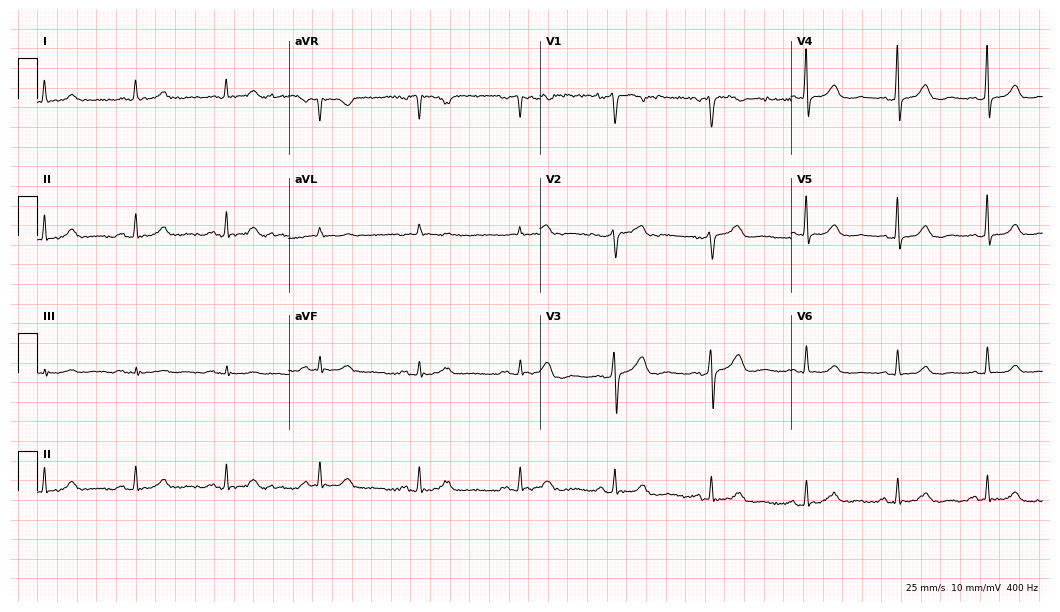
12-lead ECG from a woman, 48 years old. Labelled as a normal ECG.